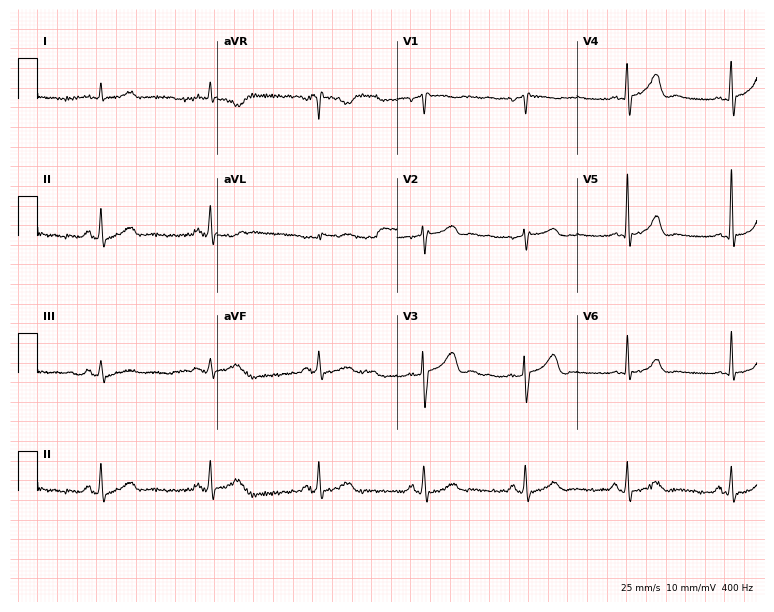
12-lead ECG from a 53-year-old male patient. Labelled as a normal ECG.